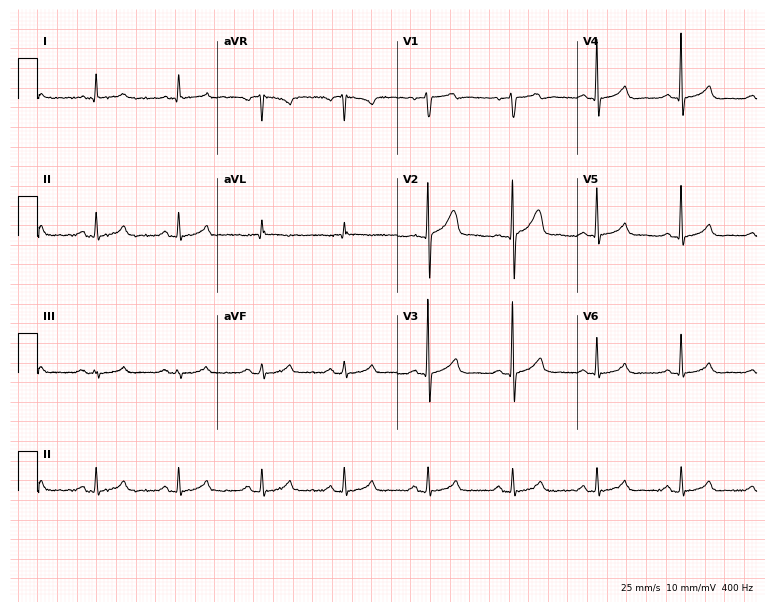
Electrocardiogram (7.3-second recording at 400 Hz), a male patient, 56 years old. Overall reading on record: normal ECG.